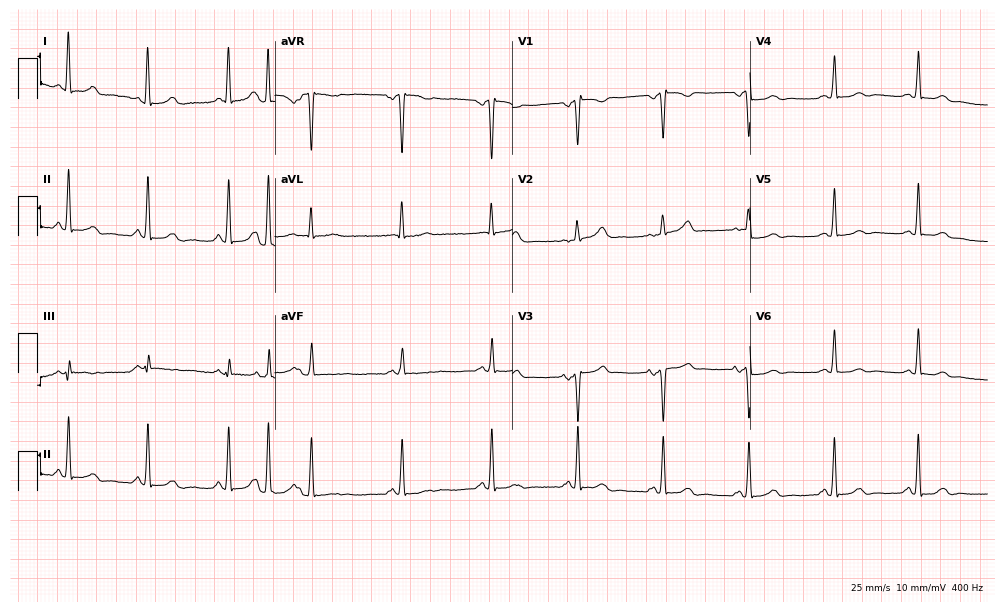
Resting 12-lead electrocardiogram (9.7-second recording at 400 Hz). Patient: a woman, 64 years old. None of these six findings is recorded: first-degree AV block, right bundle branch block, left bundle branch block, sinus bradycardia, atrial fibrillation, sinus tachycardia. Only these six findings were labelled.